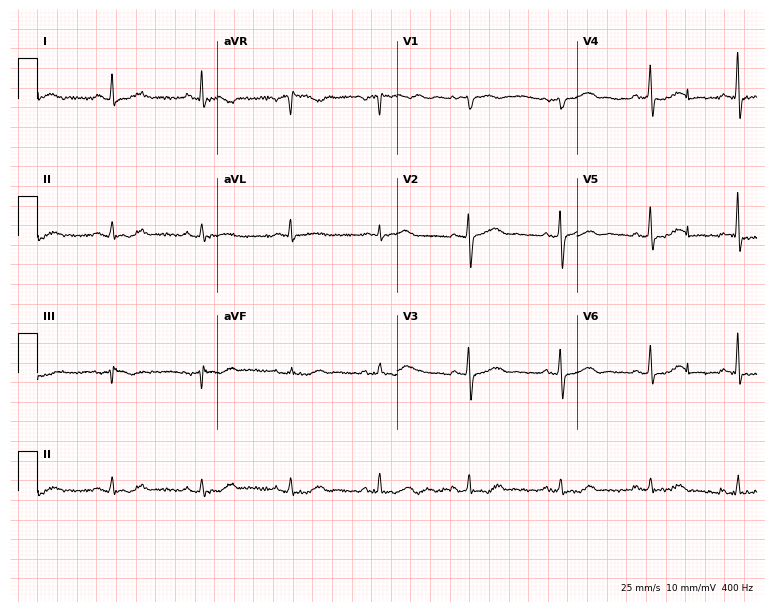
Standard 12-lead ECG recorded from a 77-year-old female patient. Read as a normal ECG.